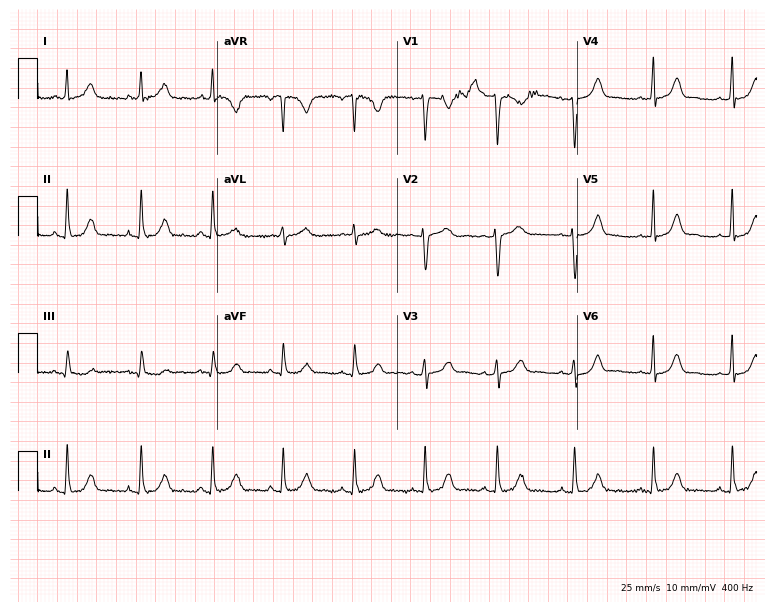
Resting 12-lead electrocardiogram (7.3-second recording at 400 Hz). Patient: a 53-year-old female. None of these six findings is recorded: first-degree AV block, right bundle branch block (RBBB), left bundle branch block (LBBB), sinus bradycardia, atrial fibrillation (AF), sinus tachycardia.